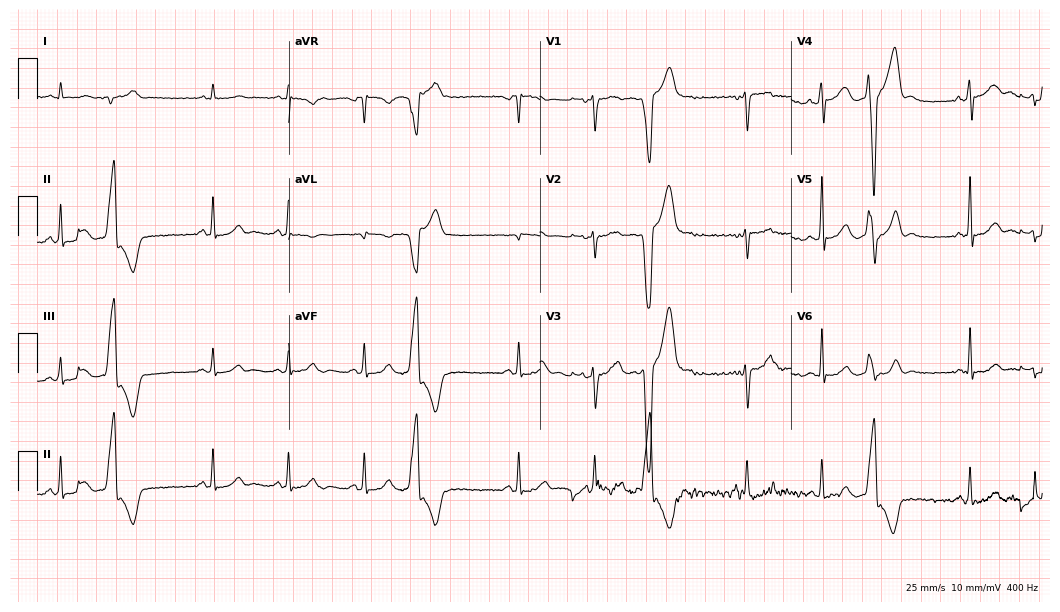
Electrocardiogram, a man, 58 years old. Of the six screened findings (first-degree AV block, right bundle branch block (RBBB), left bundle branch block (LBBB), sinus bradycardia, atrial fibrillation (AF), sinus tachycardia), none is recorded.